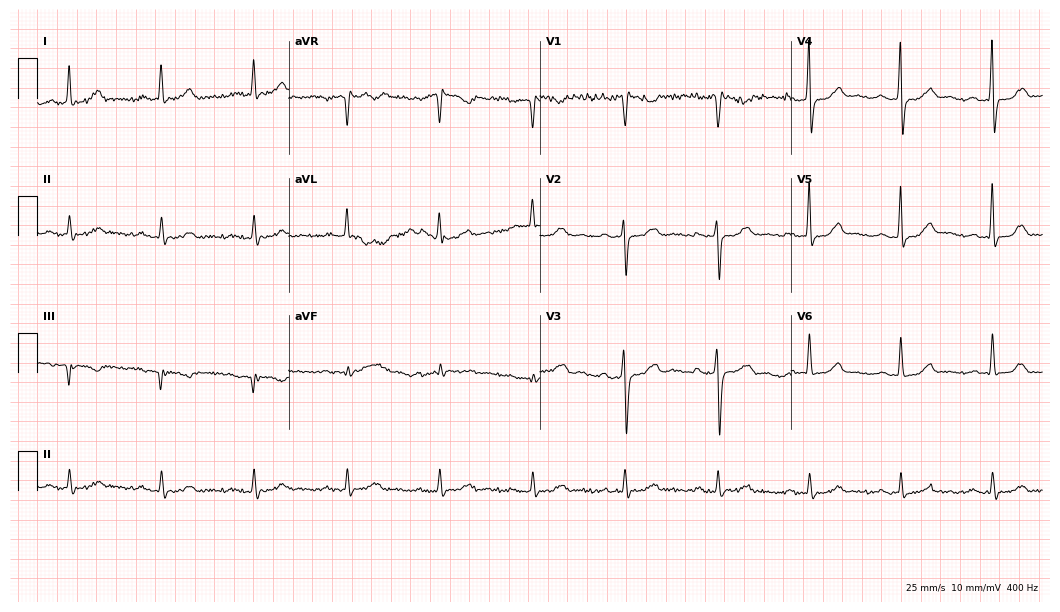
ECG — a male patient, 81 years old. Screened for six findings — first-degree AV block, right bundle branch block (RBBB), left bundle branch block (LBBB), sinus bradycardia, atrial fibrillation (AF), sinus tachycardia — none is recorded. Other findings, if any, are not listed.